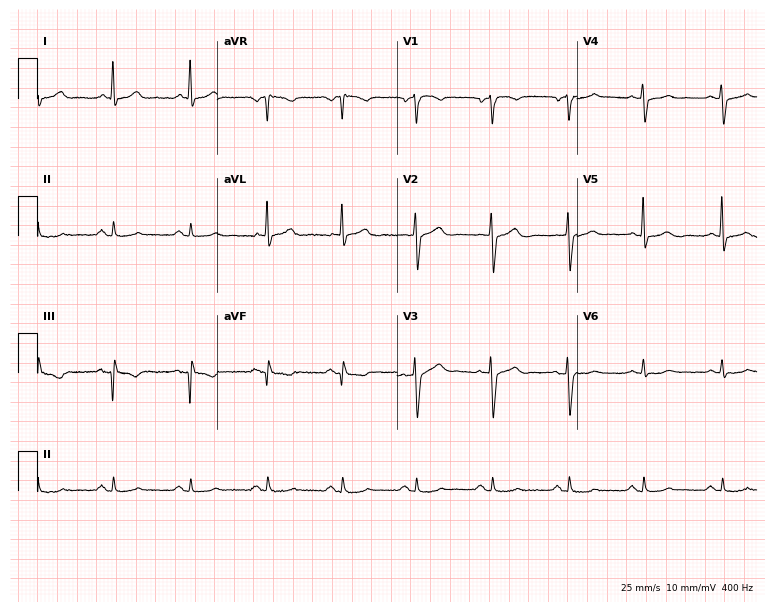
12-lead ECG from a 67-year-old man. No first-degree AV block, right bundle branch block, left bundle branch block, sinus bradycardia, atrial fibrillation or sinus tachycardia recorded for this tracing.